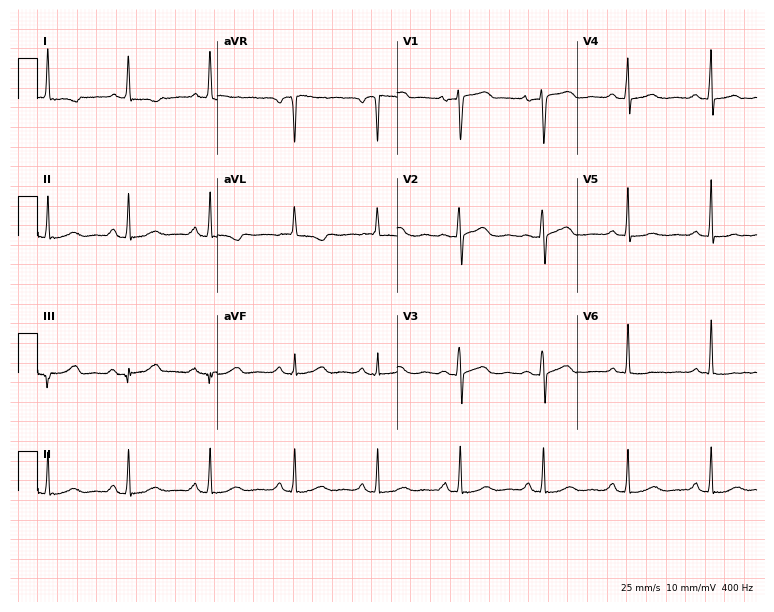
Standard 12-lead ECG recorded from a female patient, 67 years old (7.3-second recording at 400 Hz). None of these six findings is recorded: first-degree AV block, right bundle branch block (RBBB), left bundle branch block (LBBB), sinus bradycardia, atrial fibrillation (AF), sinus tachycardia.